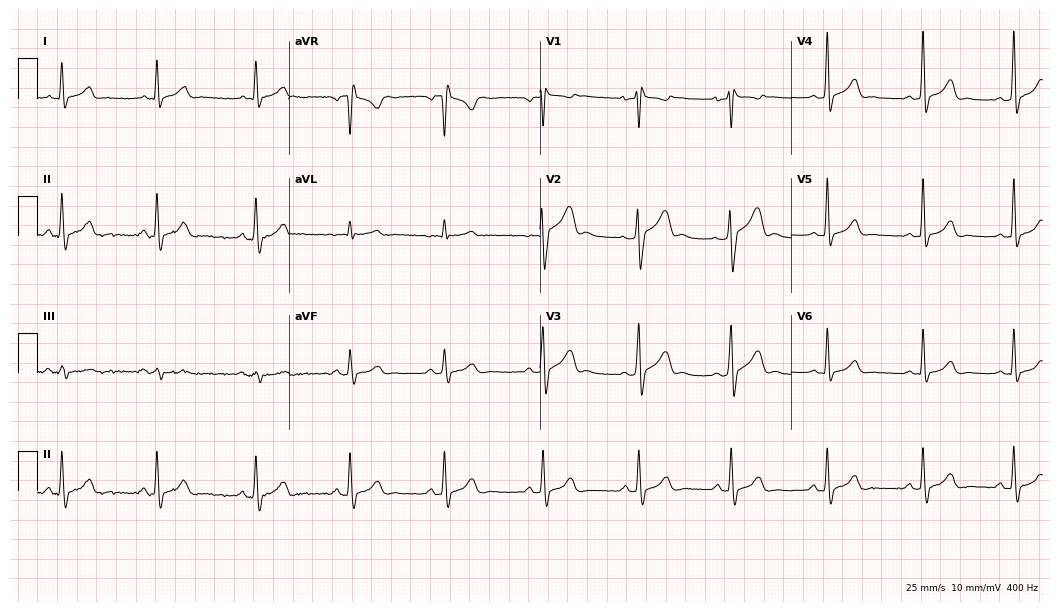
12-lead ECG from a 26-year-old male patient (10.2-second recording at 400 Hz). No first-degree AV block, right bundle branch block, left bundle branch block, sinus bradycardia, atrial fibrillation or sinus tachycardia recorded for this tracing.